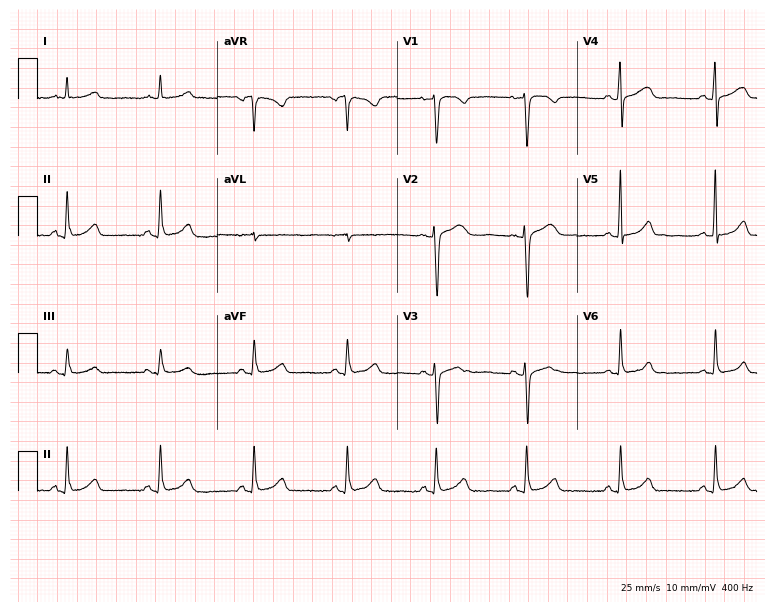
Resting 12-lead electrocardiogram (7.3-second recording at 400 Hz). Patient: a woman, 45 years old. Read as a normal ECG.